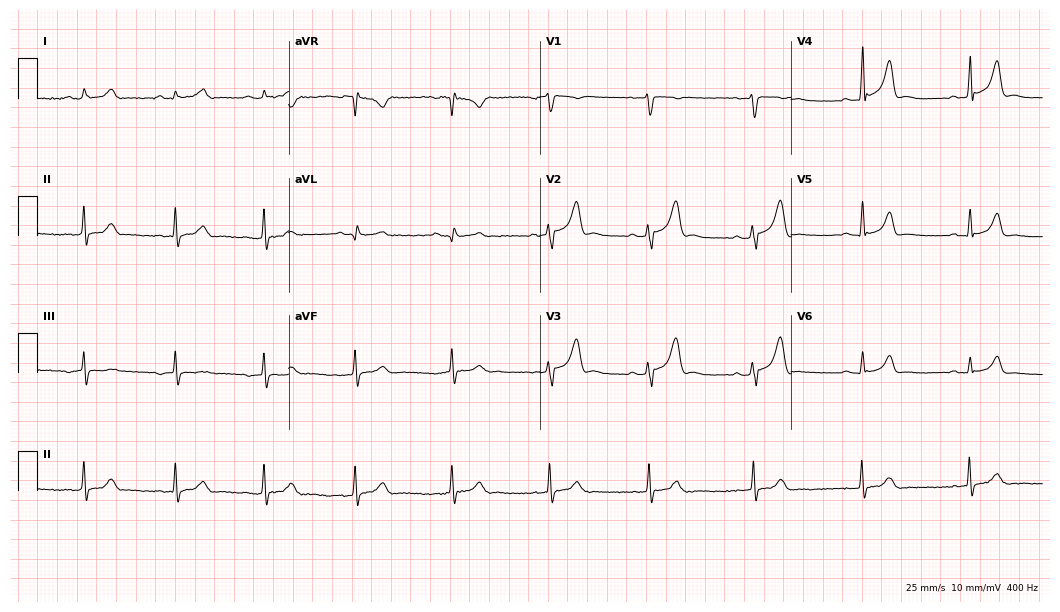
Resting 12-lead electrocardiogram. Patient: a 30-year-old man. None of these six findings is recorded: first-degree AV block, right bundle branch block, left bundle branch block, sinus bradycardia, atrial fibrillation, sinus tachycardia. Other findings, if any, are not listed.